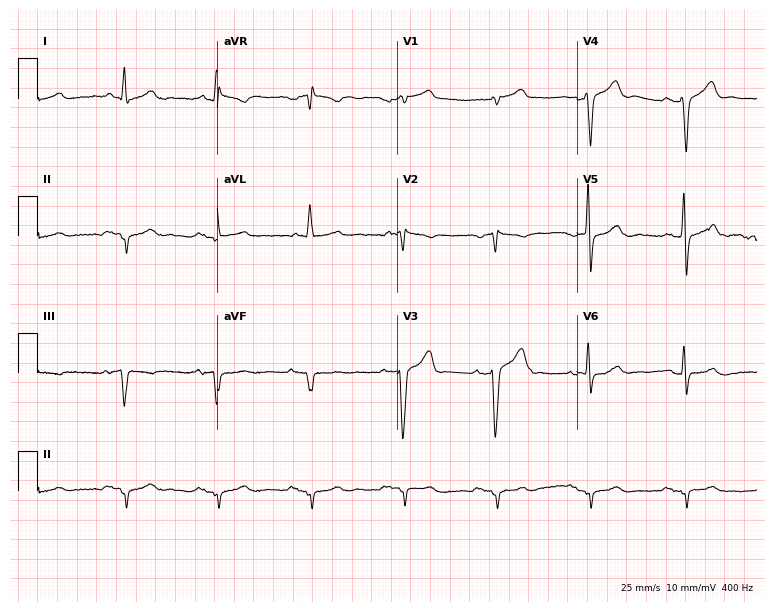
Electrocardiogram (7.3-second recording at 400 Hz), a male patient, 72 years old. Of the six screened findings (first-degree AV block, right bundle branch block (RBBB), left bundle branch block (LBBB), sinus bradycardia, atrial fibrillation (AF), sinus tachycardia), none is recorded. Findings outside these six are not listed.